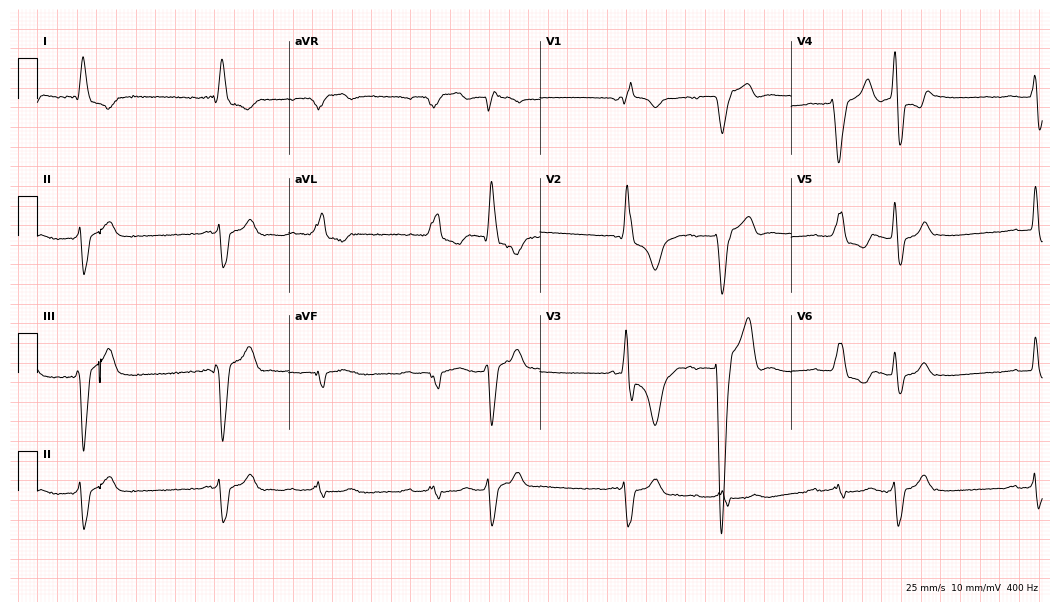
12-lead ECG from an 83-year-old male patient (10.2-second recording at 400 Hz). Shows left bundle branch block, atrial fibrillation.